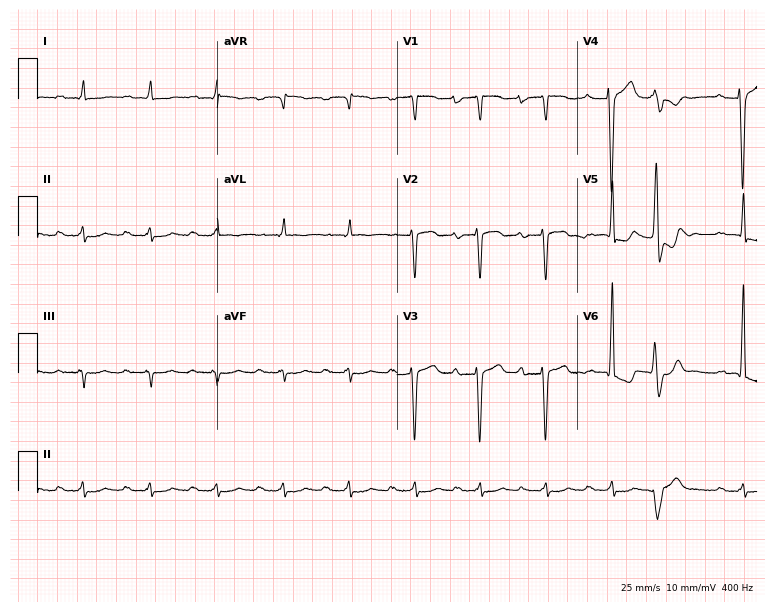
Resting 12-lead electrocardiogram (7.3-second recording at 400 Hz). Patient: an 85-year-old woman. The tracing shows first-degree AV block.